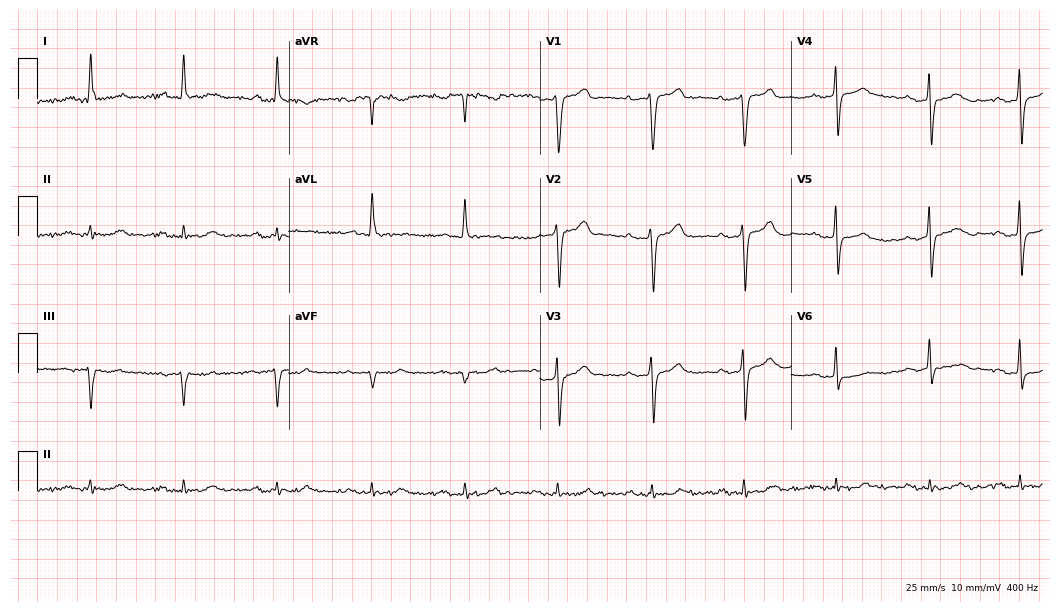
12-lead ECG from a 69-year-old male. No first-degree AV block, right bundle branch block, left bundle branch block, sinus bradycardia, atrial fibrillation or sinus tachycardia recorded for this tracing. Only these six findings were labelled.